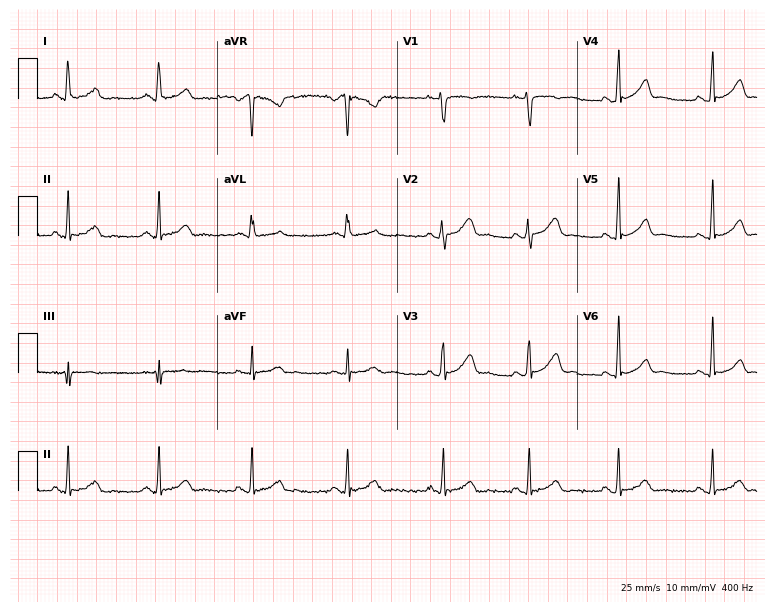
Resting 12-lead electrocardiogram. Patient: a 26-year-old woman. None of these six findings is recorded: first-degree AV block, right bundle branch block, left bundle branch block, sinus bradycardia, atrial fibrillation, sinus tachycardia. Only these six findings were labelled.